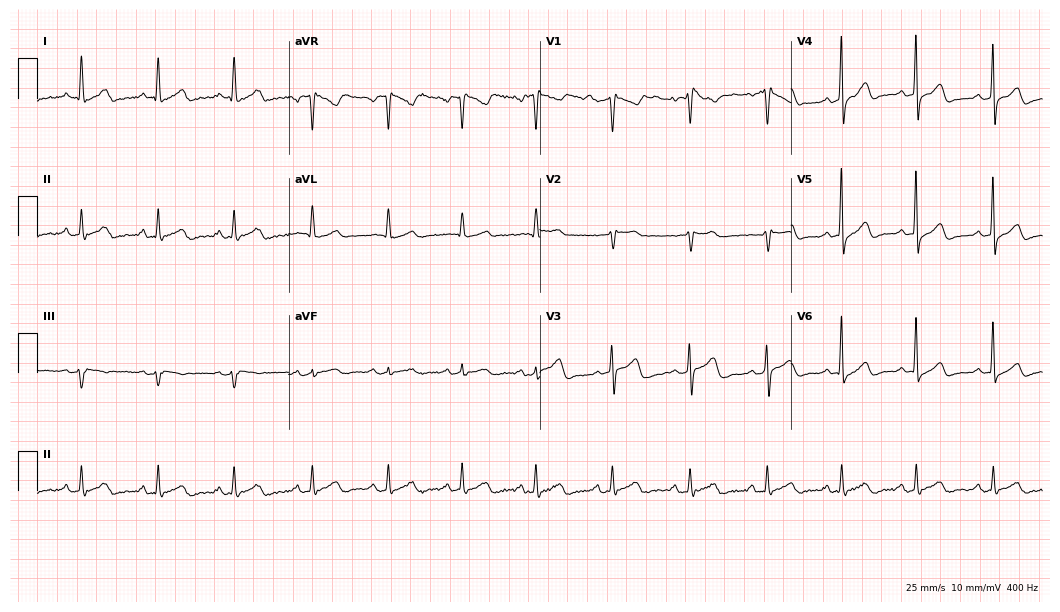
12-lead ECG (10.2-second recording at 400 Hz) from a 51-year-old female. Screened for six findings — first-degree AV block, right bundle branch block, left bundle branch block, sinus bradycardia, atrial fibrillation, sinus tachycardia — none is recorded. Findings outside these six are not listed.